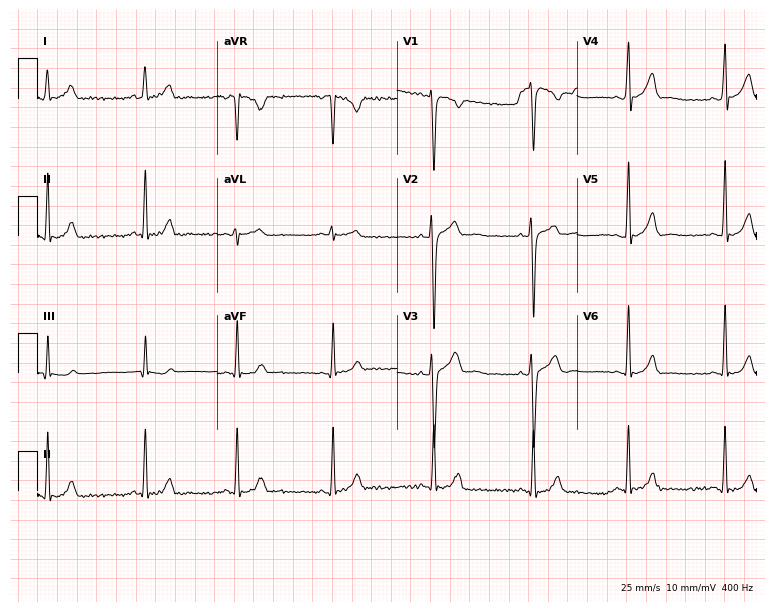
ECG — a 27-year-old male. Screened for six findings — first-degree AV block, right bundle branch block, left bundle branch block, sinus bradycardia, atrial fibrillation, sinus tachycardia — none is recorded. Only these six findings were labelled.